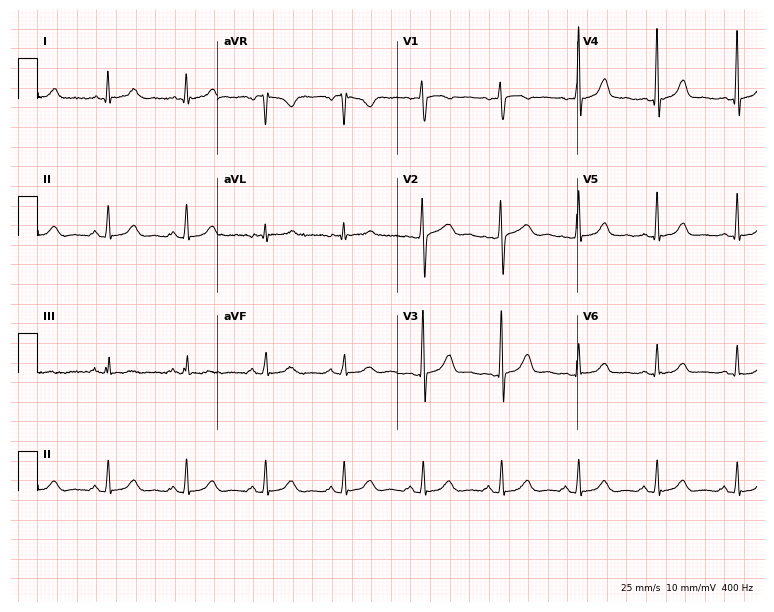
Electrocardiogram, a 53-year-old female. Overall reading on record: normal ECG.